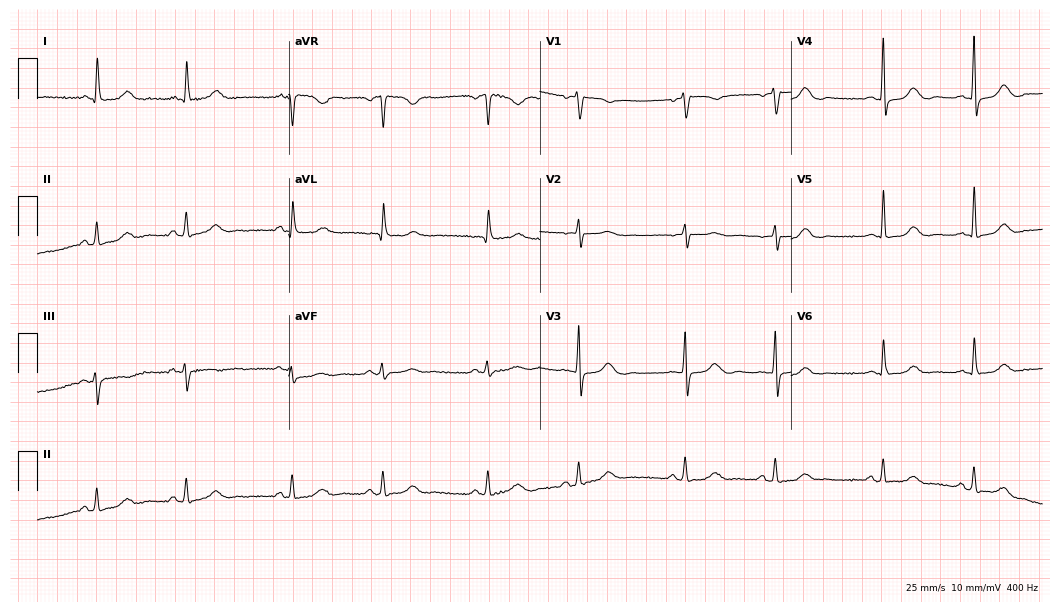
ECG (10.2-second recording at 400 Hz) — a 77-year-old female patient. Screened for six findings — first-degree AV block, right bundle branch block (RBBB), left bundle branch block (LBBB), sinus bradycardia, atrial fibrillation (AF), sinus tachycardia — none is recorded.